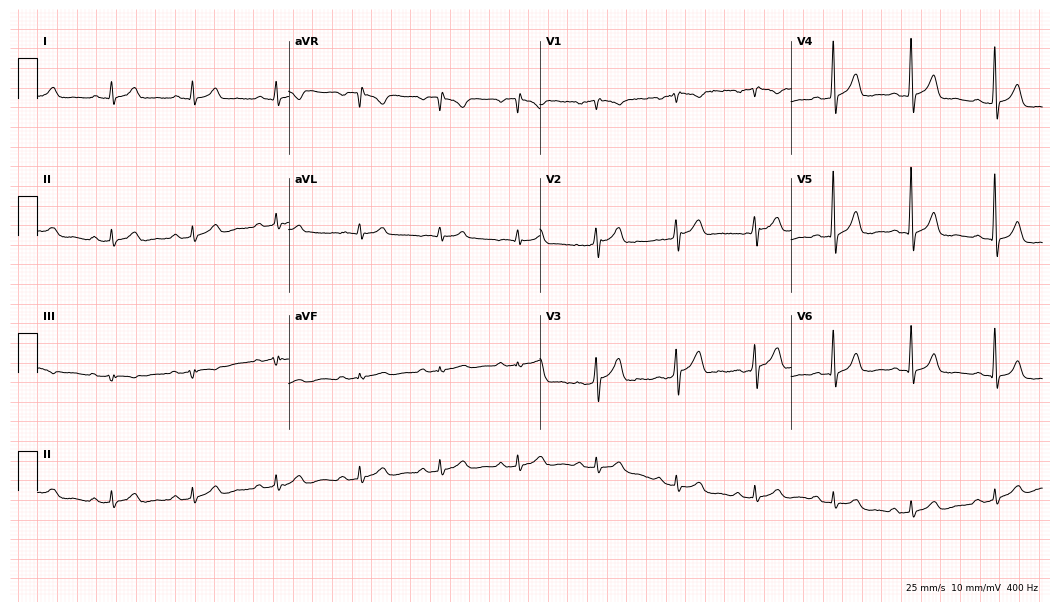
Standard 12-lead ECG recorded from a male, 59 years old (10.2-second recording at 400 Hz). Read as a normal ECG.